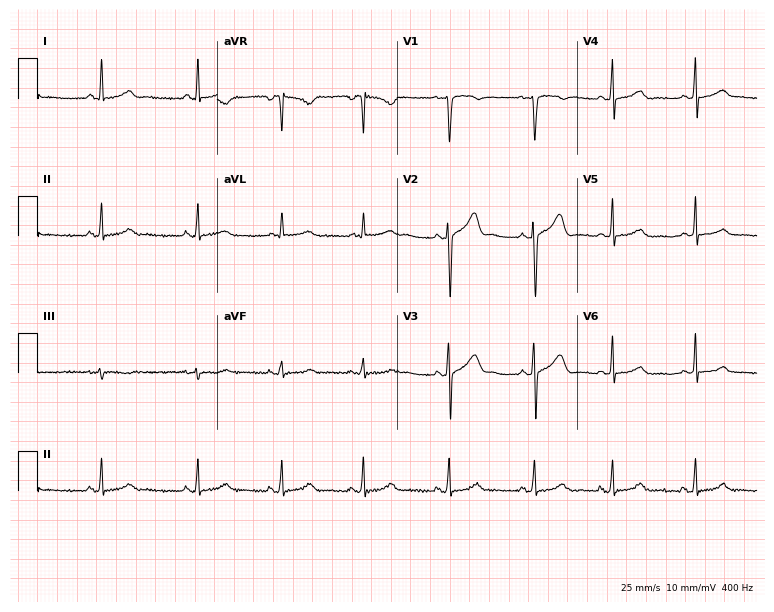
12-lead ECG (7.3-second recording at 400 Hz) from a 17-year-old female. Screened for six findings — first-degree AV block, right bundle branch block, left bundle branch block, sinus bradycardia, atrial fibrillation, sinus tachycardia — none is recorded.